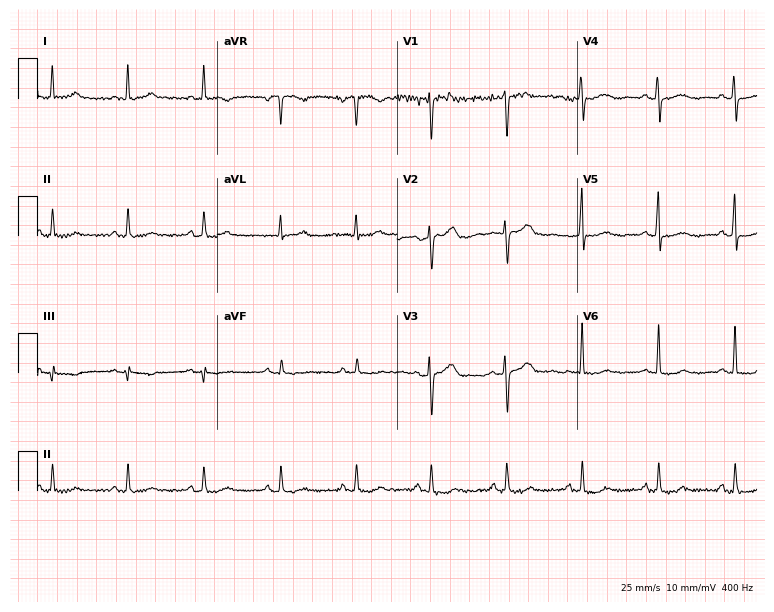
Electrocardiogram (7.3-second recording at 400 Hz), a 52-year-old woman. Overall reading on record: normal ECG.